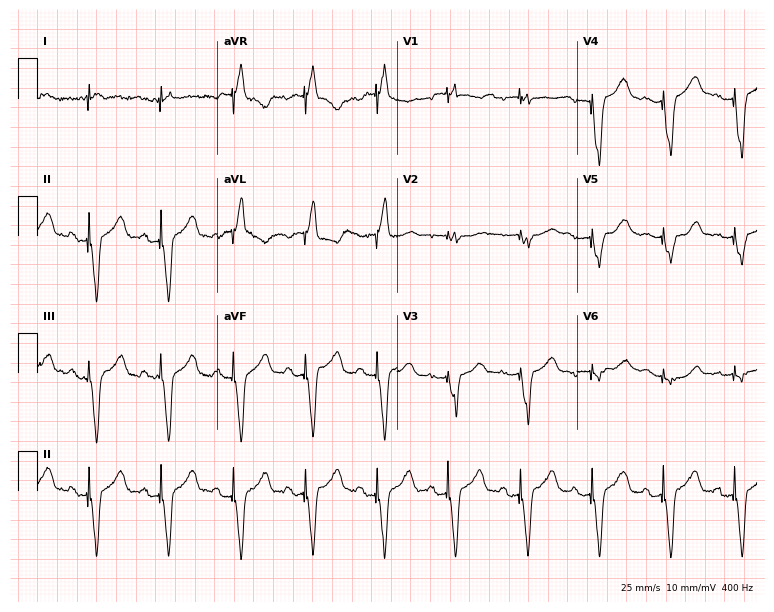
Resting 12-lead electrocardiogram (7.3-second recording at 400 Hz). Patient: an 84-year-old female. None of these six findings is recorded: first-degree AV block, right bundle branch block, left bundle branch block, sinus bradycardia, atrial fibrillation, sinus tachycardia.